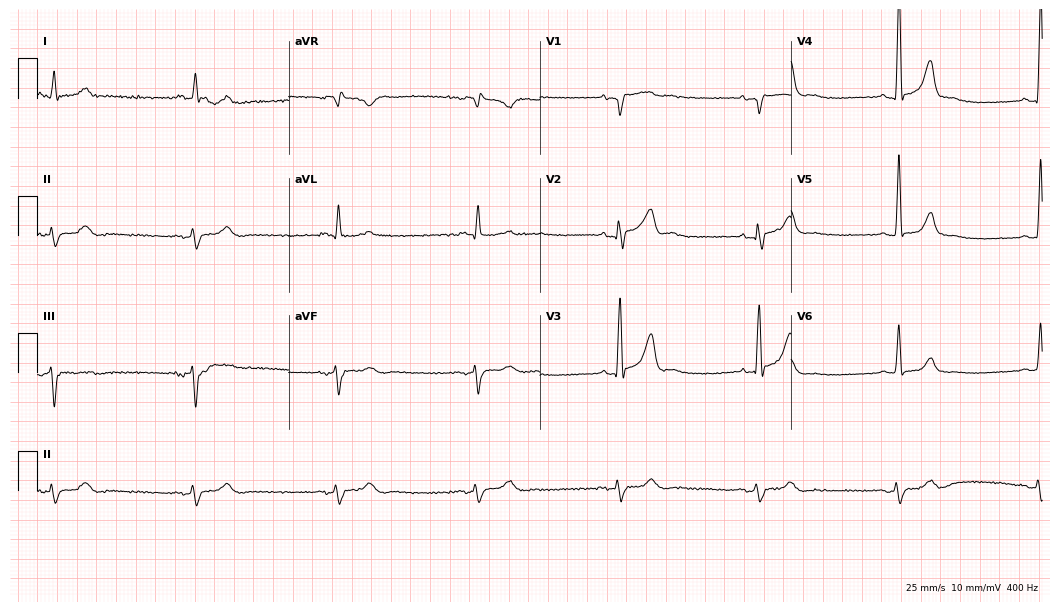
Electrocardiogram, a 76-year-old male. Interpretation includes sinus bradycardia (a sinus rate of 50 beats per minute or less).